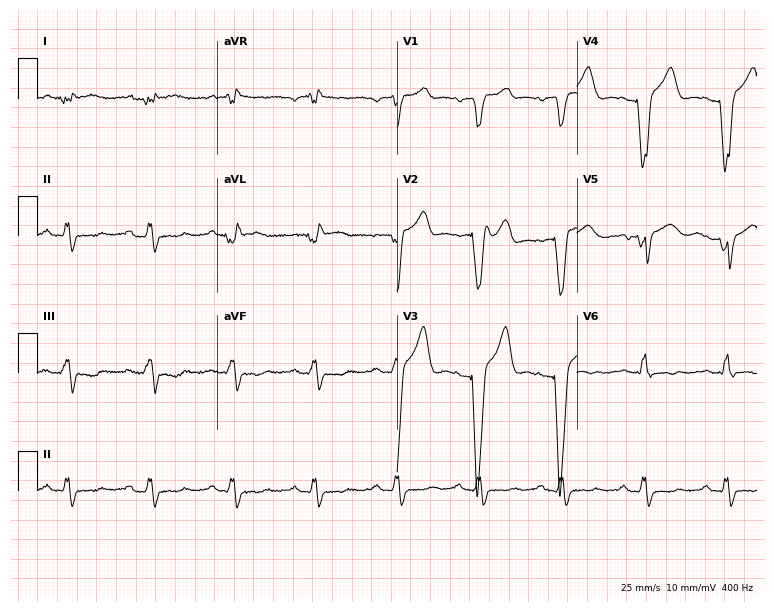
Electrocardiogram (7.3-second recording at 400 Hz), a 60-year-old male. Of the six screened findings (first-degree AV block, right bundle branch block, left bundle branch block, sinus bradycardia, atrial fibrillation, sinus tachycardia), none is recorded.